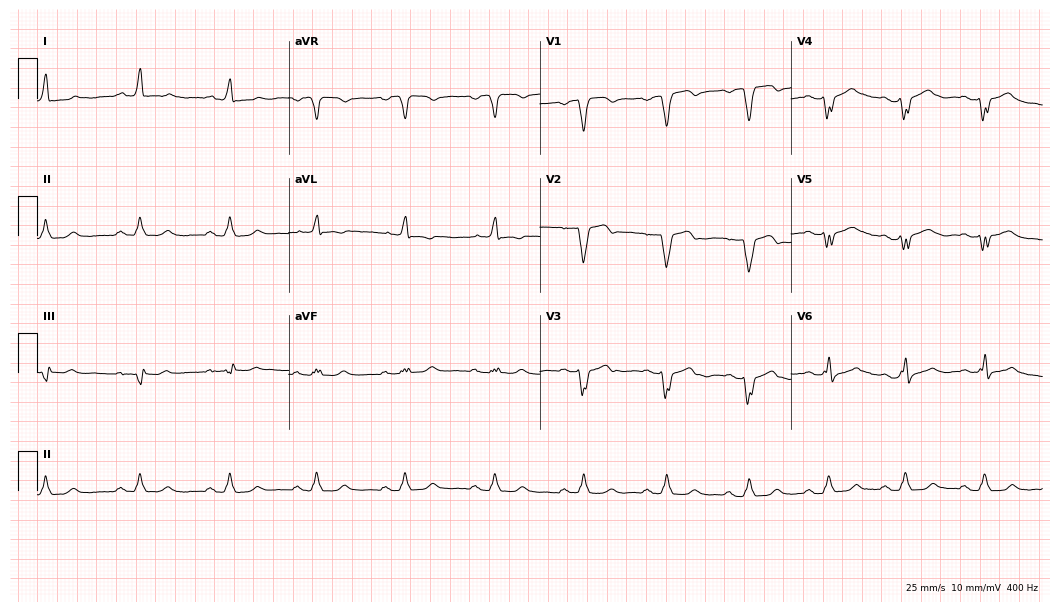
12-lead ECG (10.2-second recording at 400 Hz) from a male patient, 57 years old. Screened for six findings — first-degree AV block, right bundle branch block, left bundle branch block, sinus bradycardia, atrial fibrillation, sinus tachycardia — none is recorded.